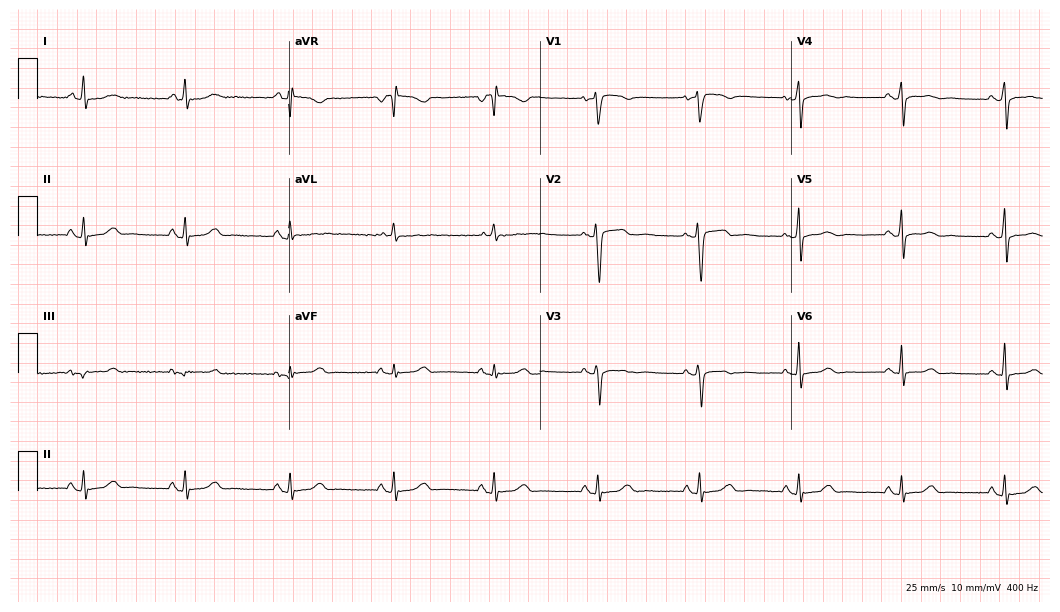
12-lead ECG from a female patient, 74 years old (10.2-second recording at 400 Hz). No first-degree AV block, right bundle branch block, left bundle branch block, sinus bradycardia, atrial fibrillation or sinus tachycardia recorded for this tracing.